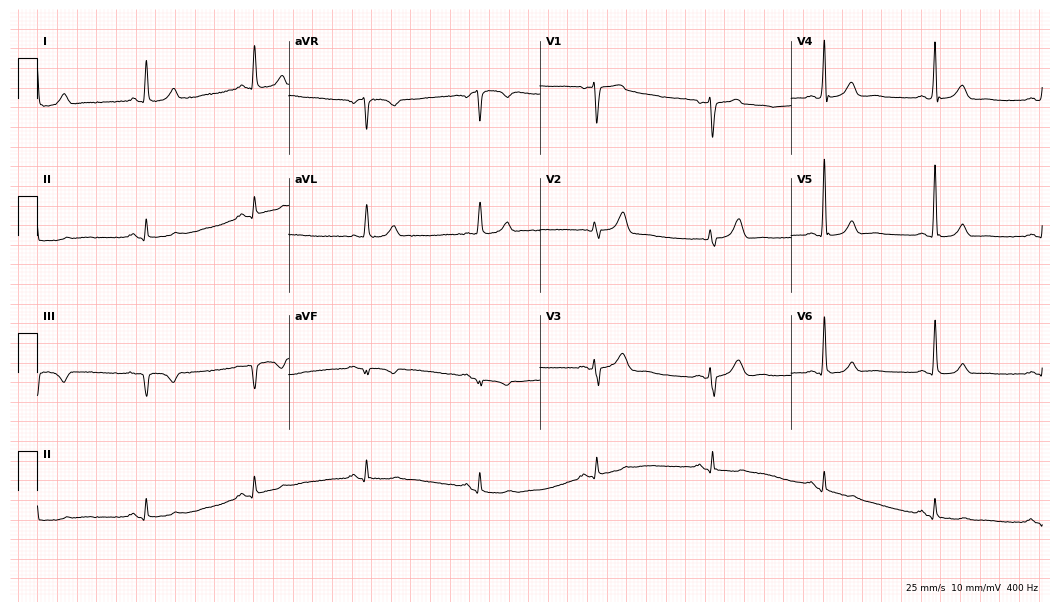
12-lead ECG from a 57-year-old man (10.2-second recording at 400 Hz). Recorded interpretation: within normal limits.